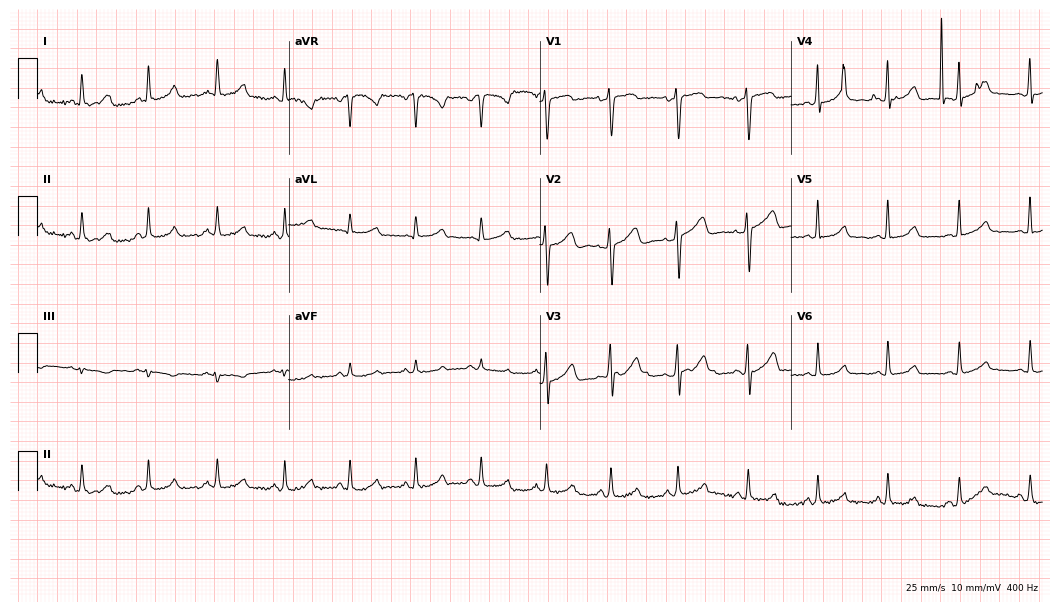
ECG (10.2-second recording at 400 Hz) — a 38-year-old female patient. Labelled as a normal ECG.